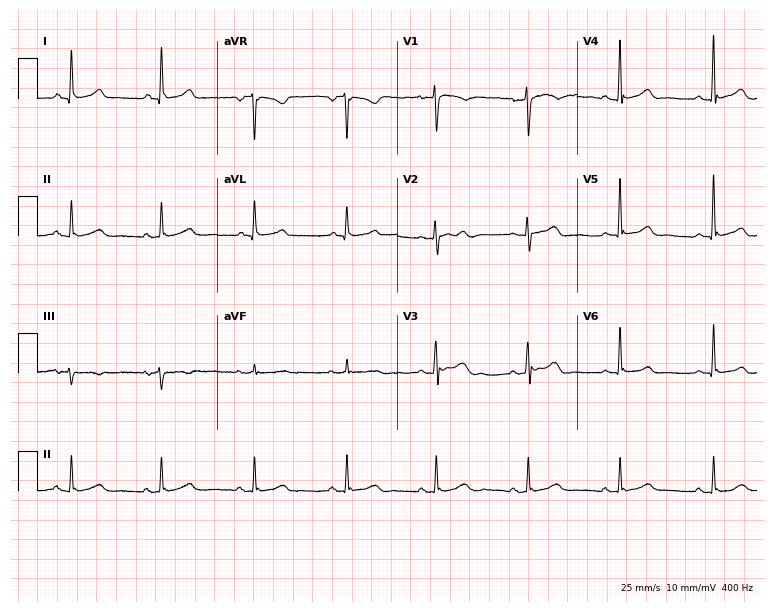
Electrocardiogram (7.3-second recording at 400 Hz), a 54-year-old woman. Overall reading on record: normal ECG.